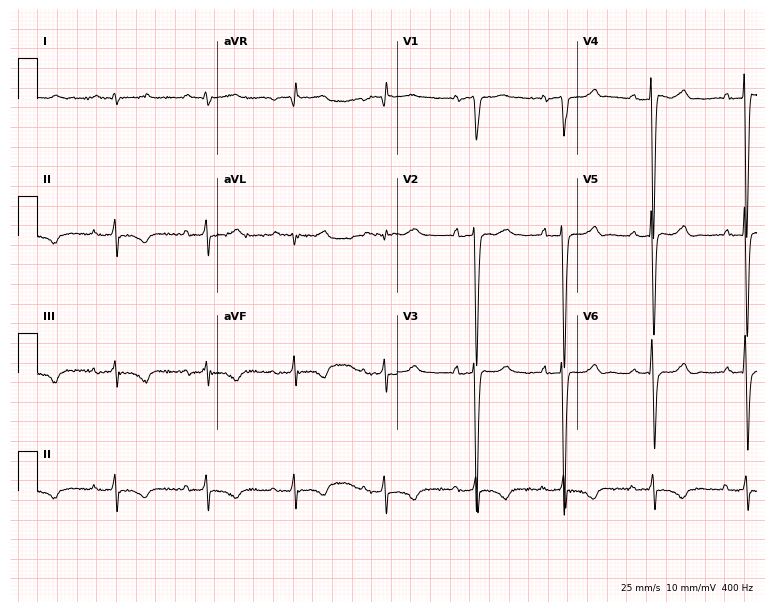
Electrocardiogram, a 75-year-old man. Of the six screened findings (first-degree AV block, right bundle branch block (RBBB), left bundle branch block (LBBB), sinus bradycardia, atrial fibrillation (AF), sinus tachycardia), none is recorded.